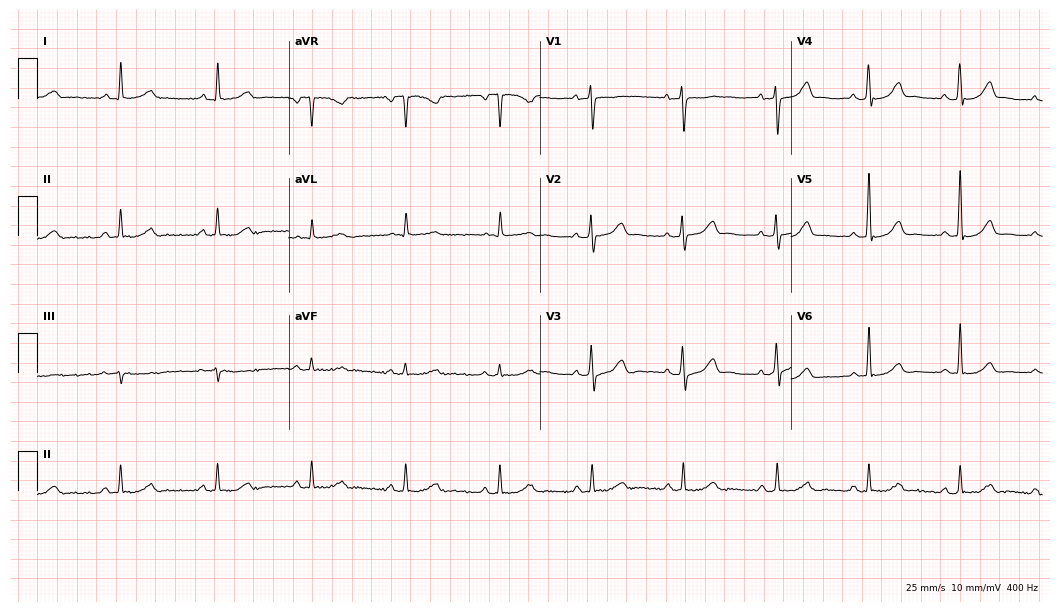
12-lead ECG (10.2-second recording at 400 Hz) from a 51-year-old female patient. Screened for six findings — first-degree AV block, right bundle branch block, left bundle branch block, sinus bradycardia, atrial fibrillation, sinus tachycardia — none is recorded.